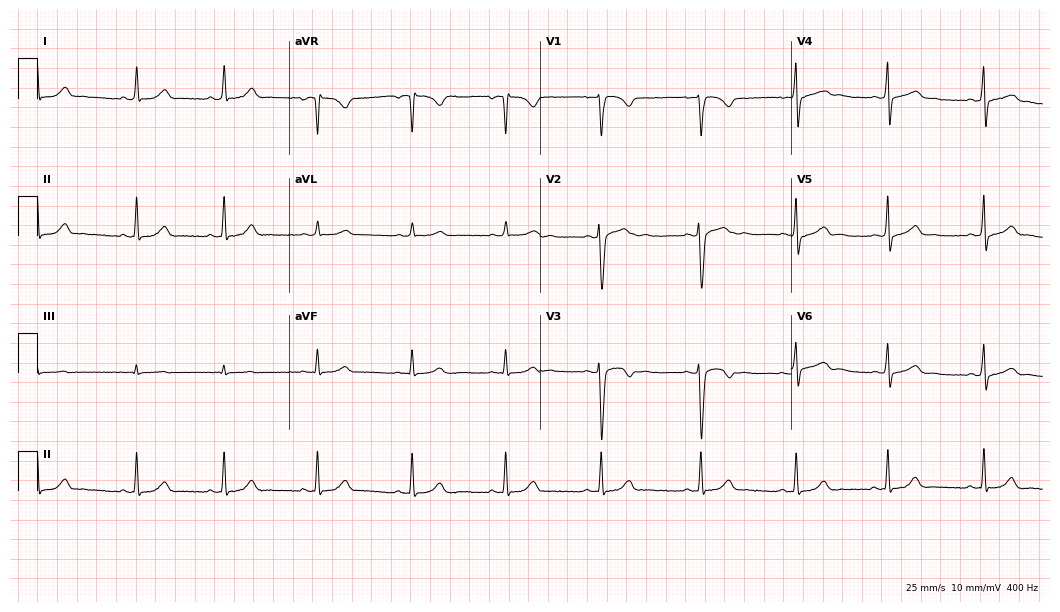
12-lead ECG from a female, 17 years old. No first-degree AV block, right bundle branch block, left bundle branch block, sinus bradycardia, atrial fibrillation or sinus tachycardia recorded for this tracing. Only these six findings were labelled.